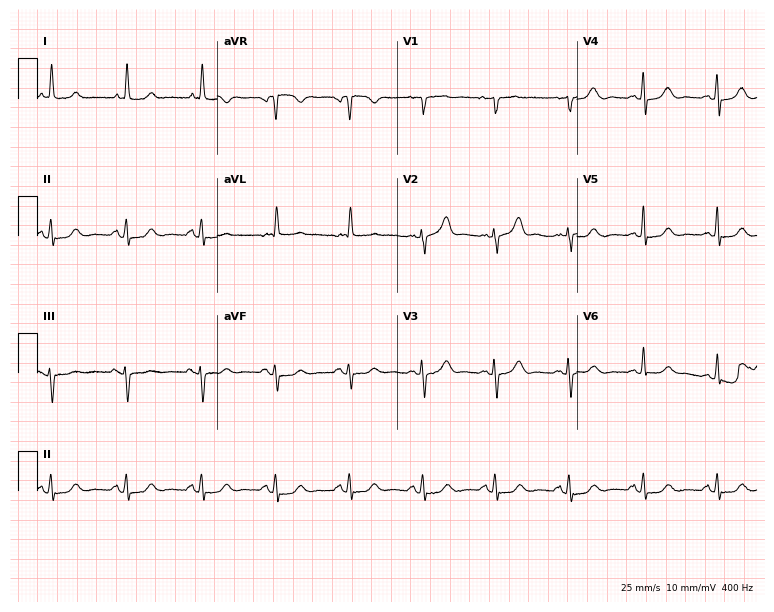
ECG — a 74-year-old female. Labelled as a normal ECG.